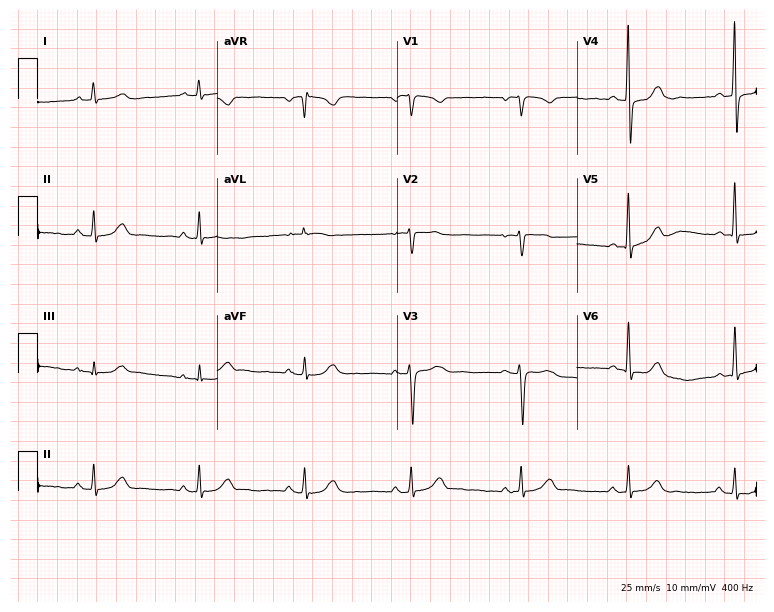
ECG (7.3-second recording at 400 Hz) — a 60-year-old female patient. Findings include sinus bradycardia (a sinus rate of 50 beats per minute or less).